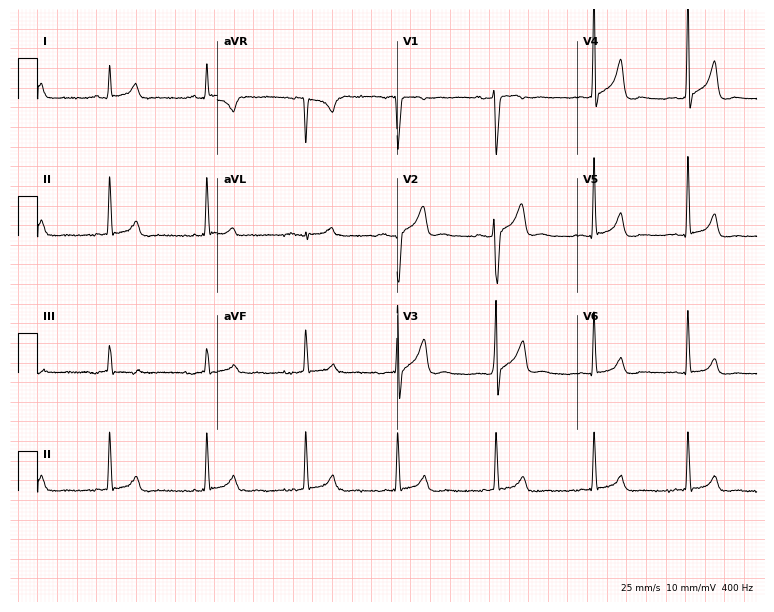
ECG — a man, 38 years old. Screened for six findings — first-degree AV block, right bundle branch block, left bundle branch block, sinus bradycardia, atrial fibrillation, sinus tachycardia — none is recorded. Other findings, if any, are not listed.